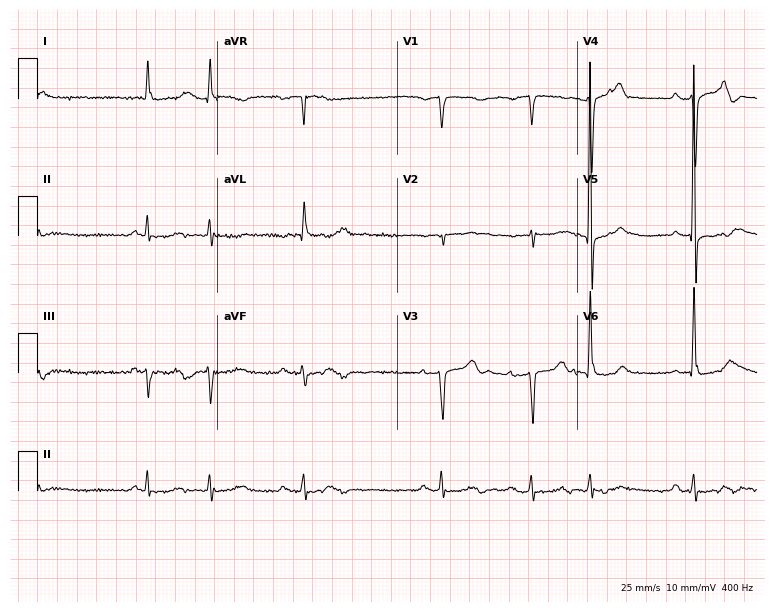
Electrocardiogram, a 78-year-old male patient. Of the six screened findings (first-degree AV block, right bundle branch block, left bundle branch block, sinus bradycardia, atrial fibrillation, sinus tachycardia), none is recorded.